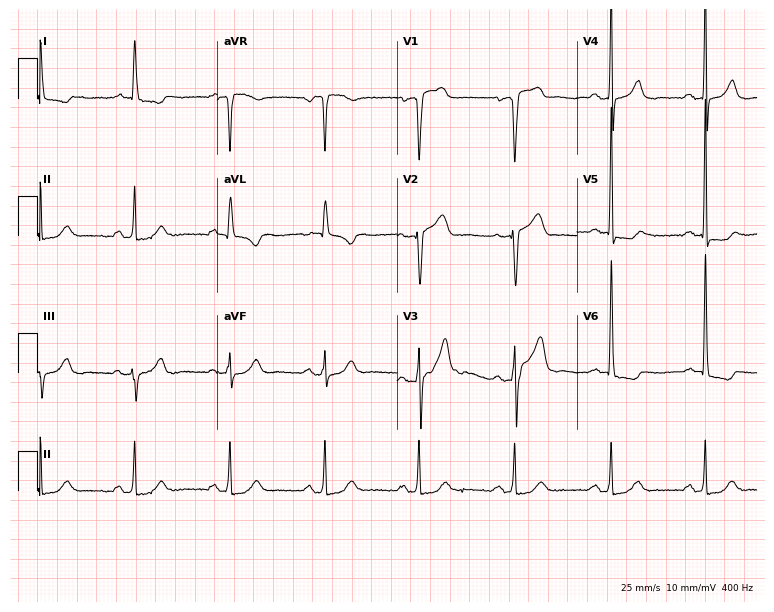
Standard 12-lead ECG recorded from a male patient, 72 years old. None of these six findings is recorded: first-degree AV block, right bundle branch block, left bundle branch block, sinus bradycardia, atrial fibrillation, sinus tachycardia.